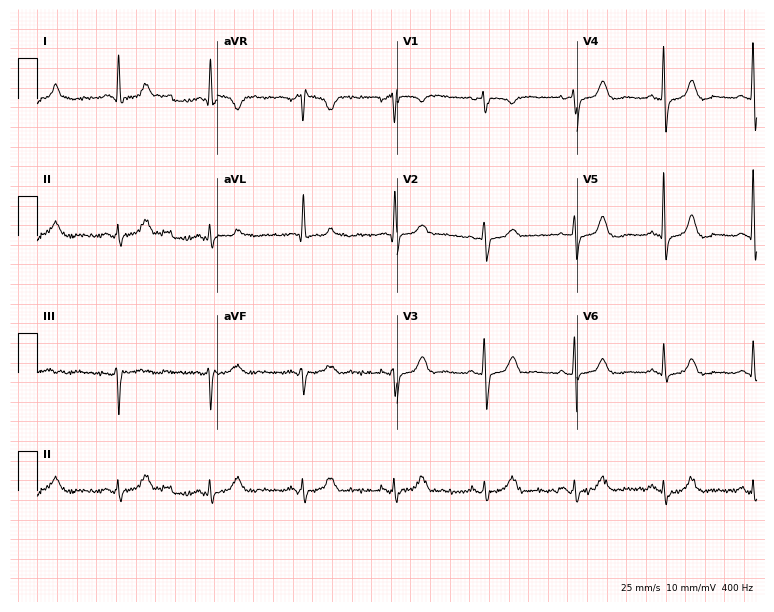
Resting 12-lead electrocardiogram. Patient: a woman, 66 years old. None of these six findings is recorded: first-degree AV block, right bundle branch block, left bundle branch block, sinus bradycardia, atrial fibrillation, sinus tachycardia. Findings outside these six are not listed.